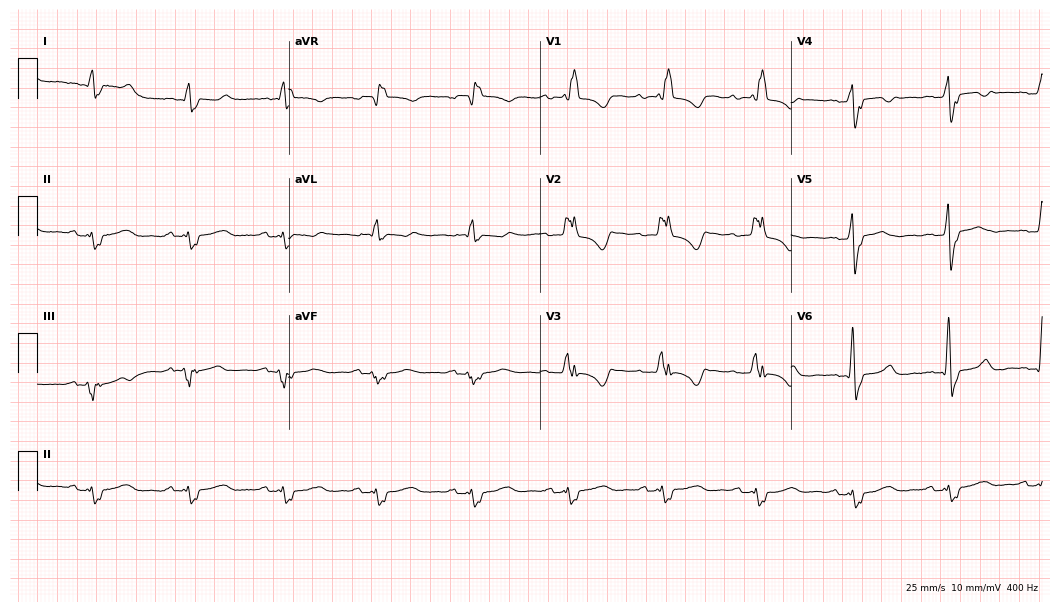
Resting 12-lead electrocardiogram. Patient: a woman, 55 years old. The tracing shows first-degree AV block.